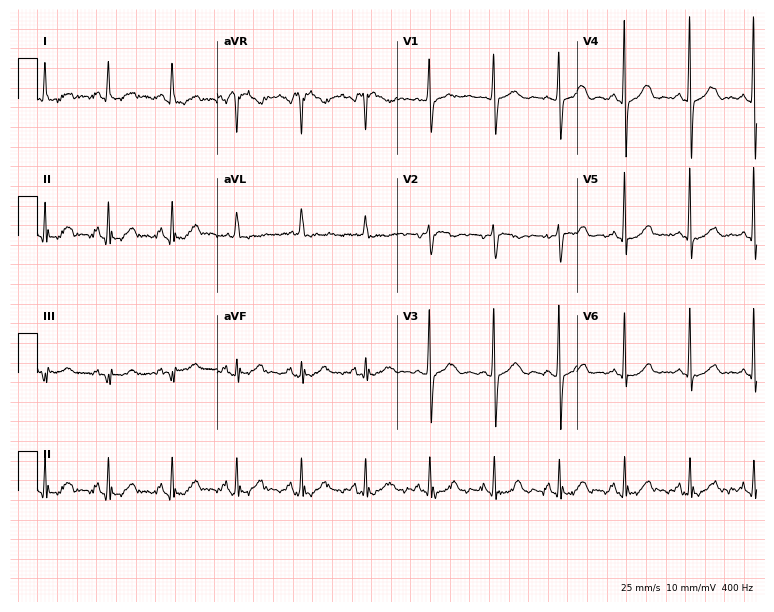
12-lead ECG from a female patient, 79 years old. Labelled as a normal ECG.